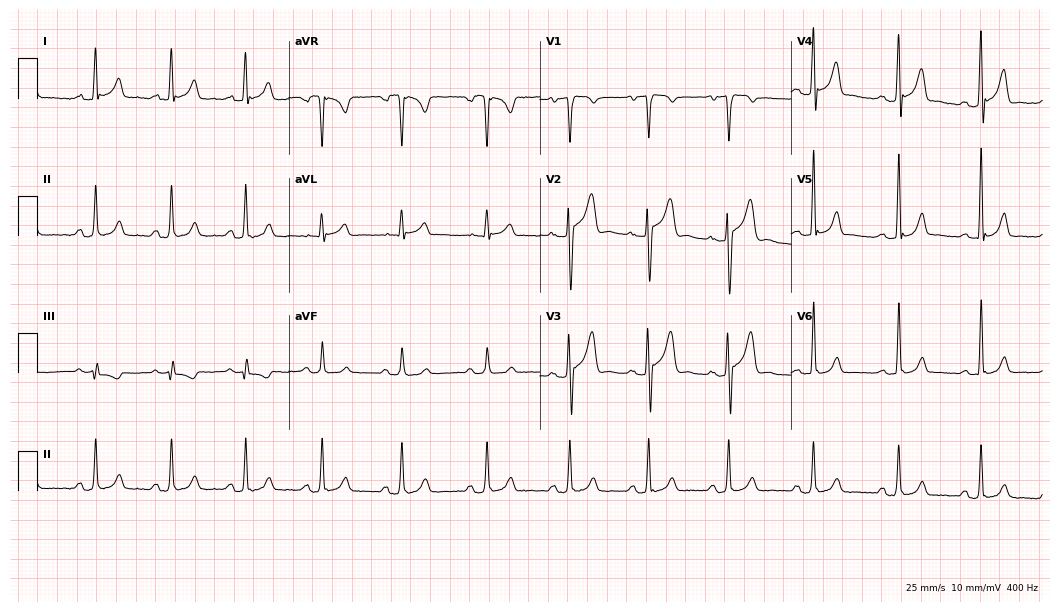
Standard 12-lead ECG recorded from a male patient, 24 years old (10.2-second recording at 400 Hz). Read as a normal ECG.